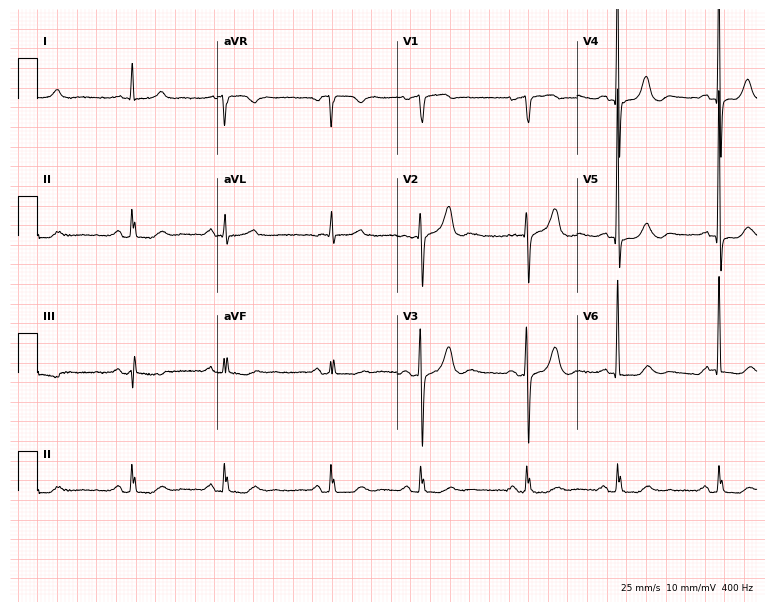
Standard 12-lead ECG recorded from a female, 81 years old (7.3-second recording at 400 Hz). None of these six findings is recorded: first-degree AV block, right bundle branch block (RBBB), left bundle branch block (LBBB), sinus bradycardia, atrial fibrillation (AF), sinus tachycardia. Other findings, if any, are not listed.